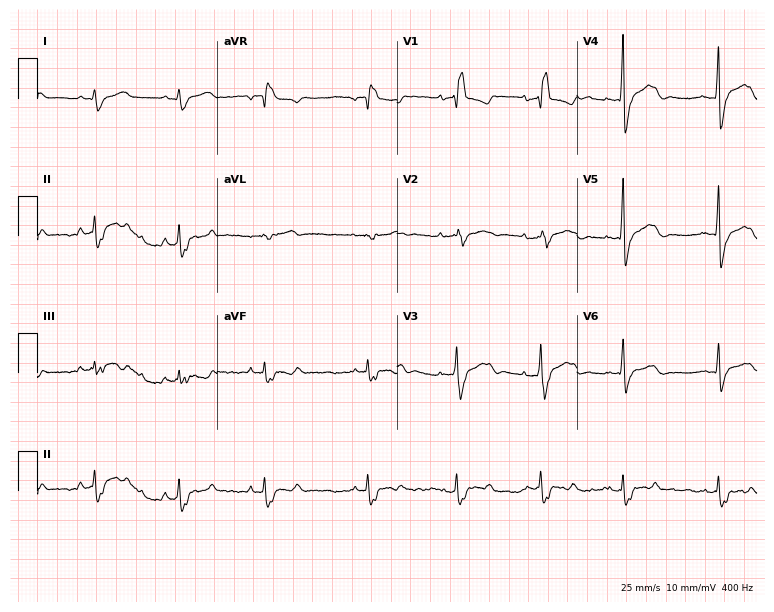
12-lead ECG from a 41-year-old man. Shows right bundle branch block.